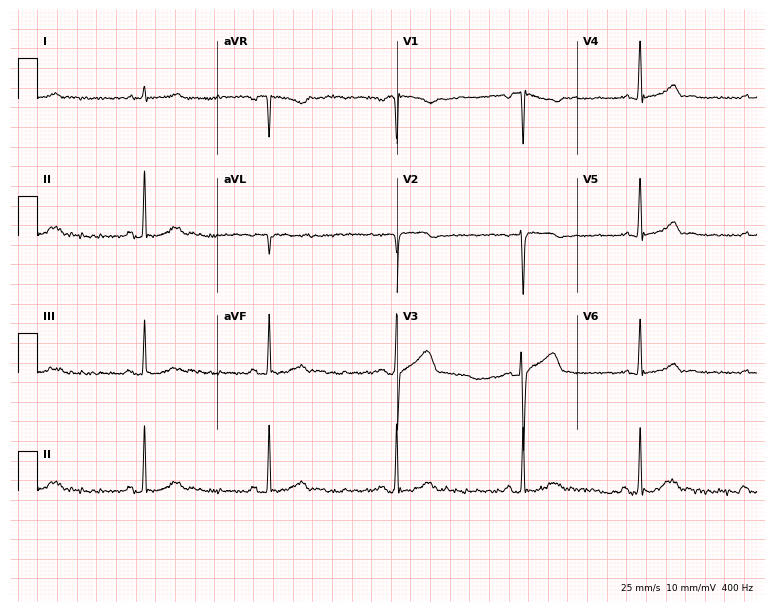
Standard 12-lead ECG recorded from a 26-year-old man. The tracing shows sinus bradycardia (a sinus rate of 50 beats per minute or less).